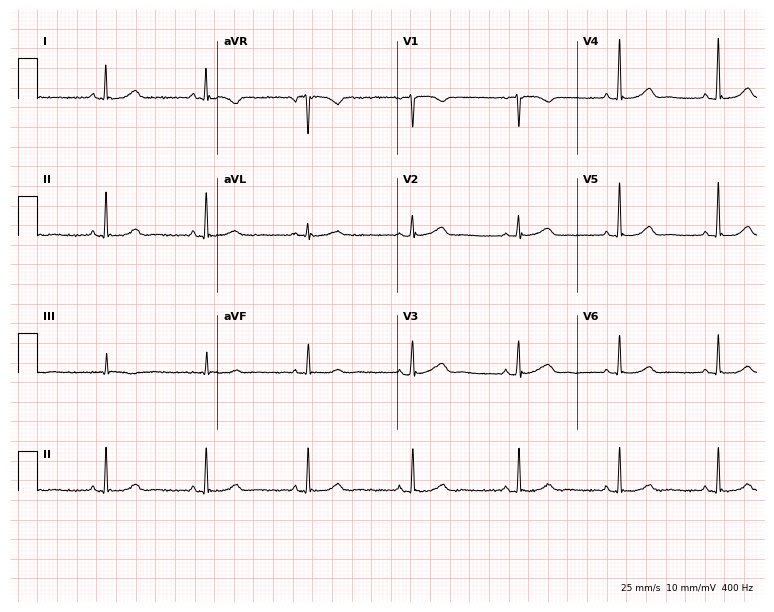
Electrocardiogram (7.3-second recording at 400 Hz), a 51-year-old female. Overall reading on record: normal ECG.